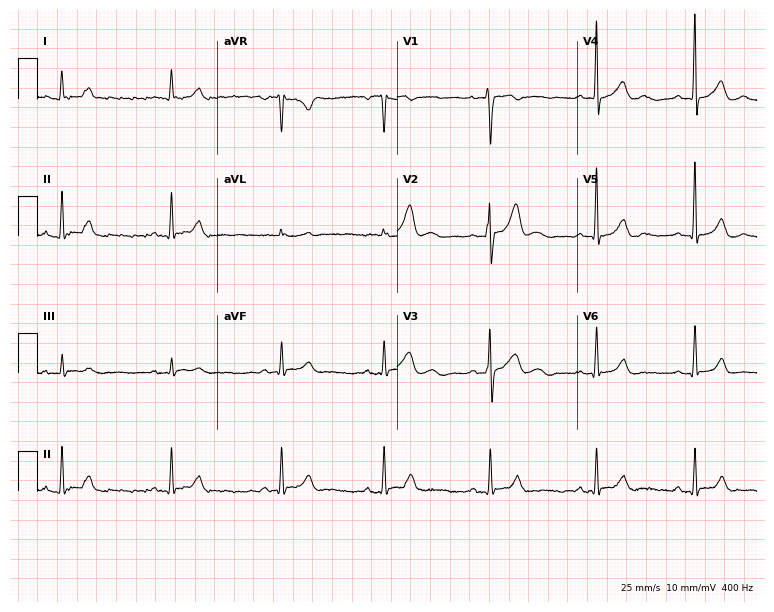
Electrocardiogram, a 29-year-old man. Overall reading on record: normal ECG.